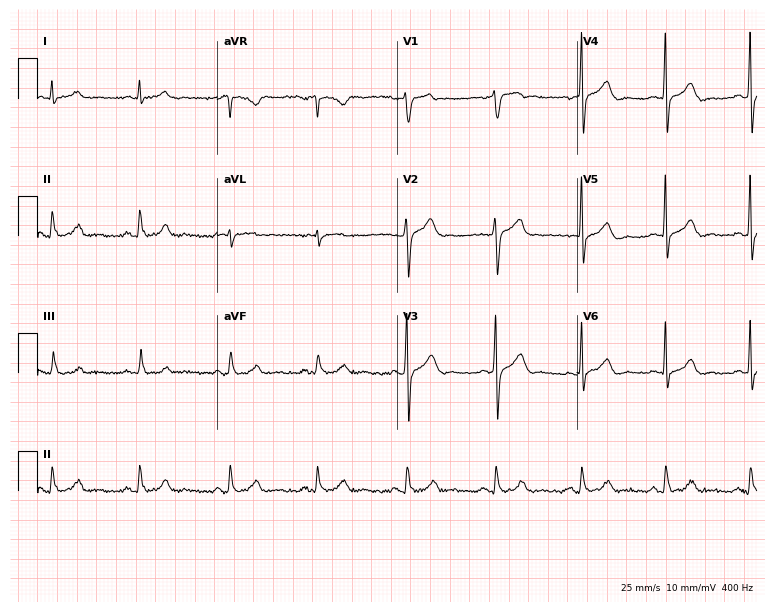
12-lead ECG from a male, 28 years old. No first-degree AV block, right bundle branch block (RBBB), left bundle branch block (LBBB), sinus bradycardia, atrial fibrillation (AF) or sinus tachycardia recorded for this tracing.